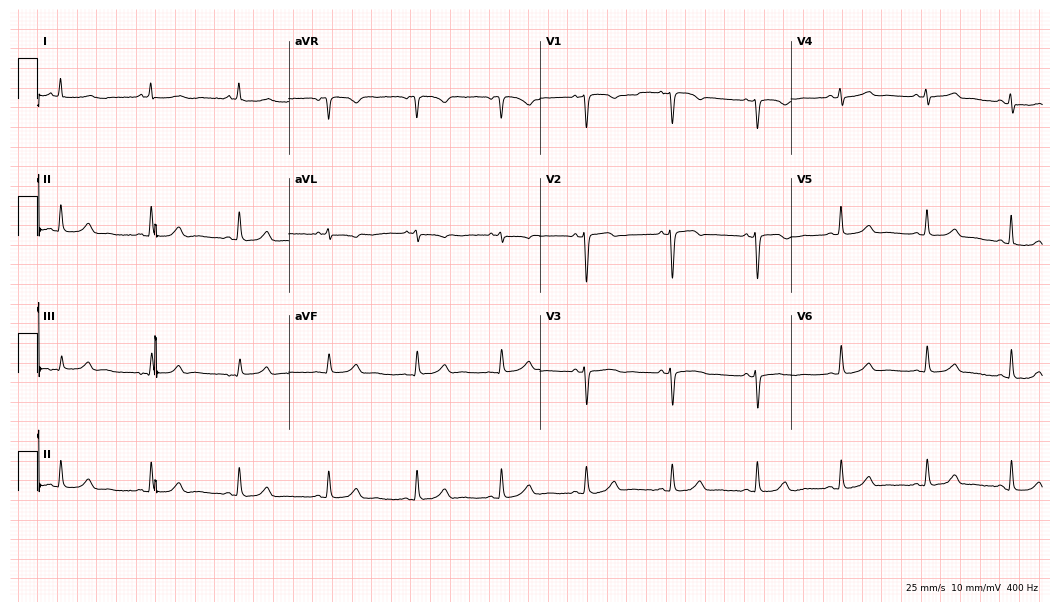
ECG — a 66-year-old female. Screened for six findings — first-degree AV block, right bundle branch block (RBBB), left bundle branch block (LBBB), sinus bradycardia, atrial fibrillation (AF), sinus tachycardia — none is recorded. Only these six findings were labelled.